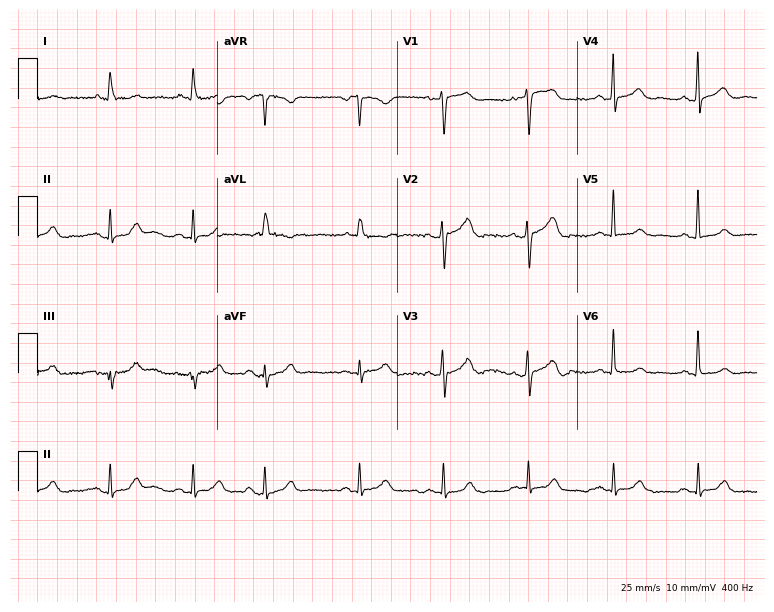
12-lead ECG from a female, 77 years old (7.3-second recording at 400 Hz). No first-degree AV block, right bundle branch block, left bundle branch block, sinus bradycardia, atrial fibrillation or sinus tachycardia recorded for this tracing.